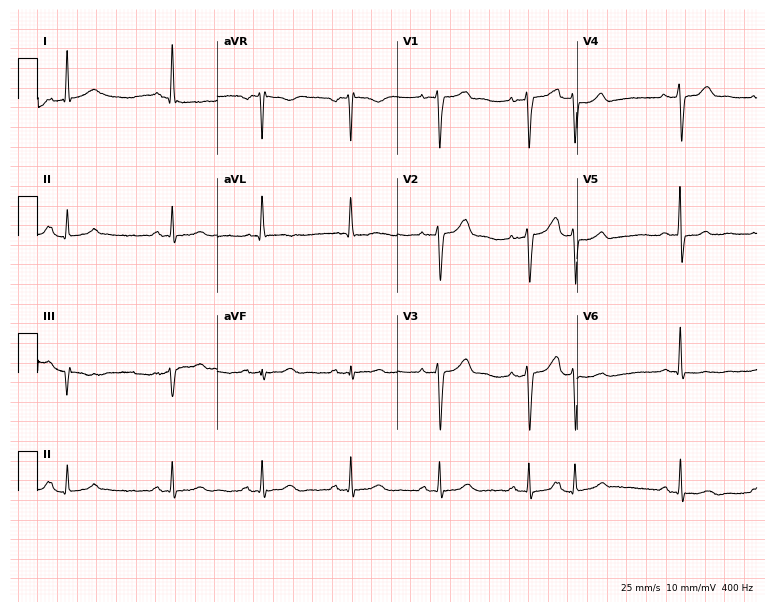
Electrocardiogram (7.3-second recording at 400 Hz), a 75-year-old woman. Of the six screened findings (first-degree AV block, right bundle branch block, left bundle branch block, sinus bradycardia, atrial fibrillation, sinus tachycardia), none is recorded. Only these six findings were labelled.